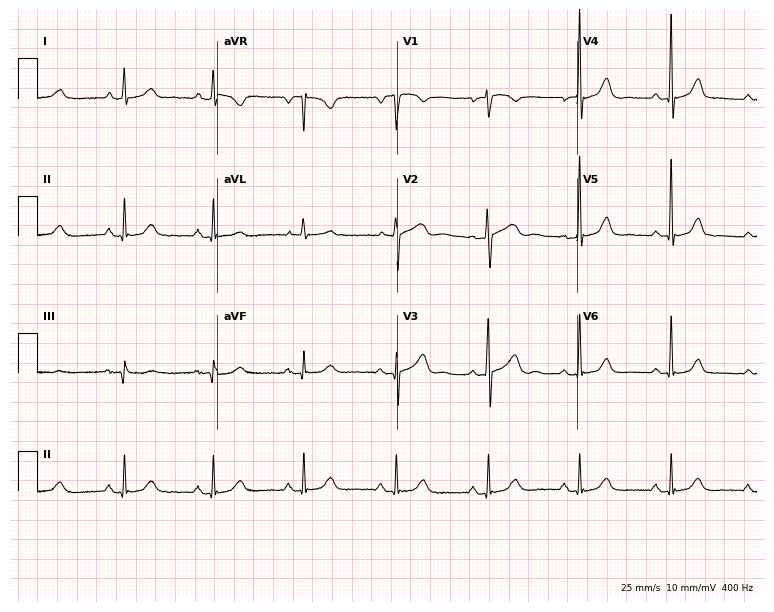
Electrocardiogram, a female patient, 59 years old. Overall reading on record: normal ECG.